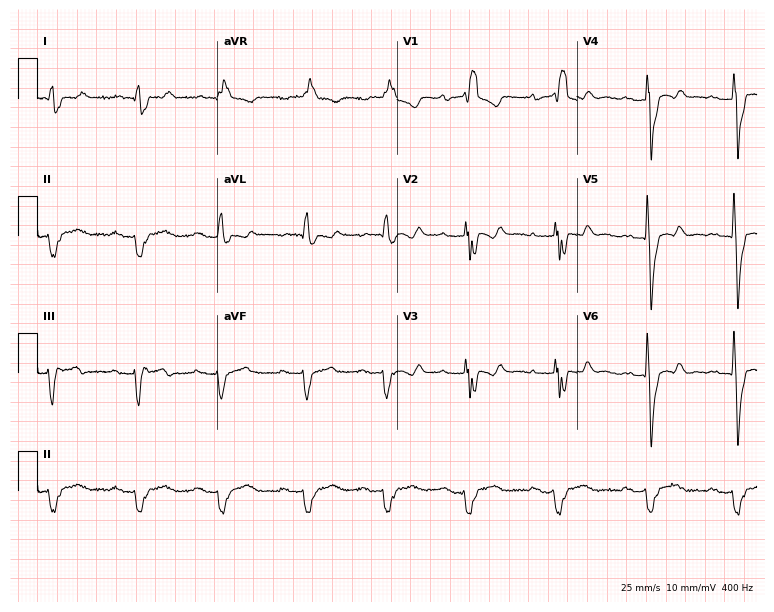
12-lead ECG from a 66-year-old male patient. Shows first-degree AV block, right bundle branch block.